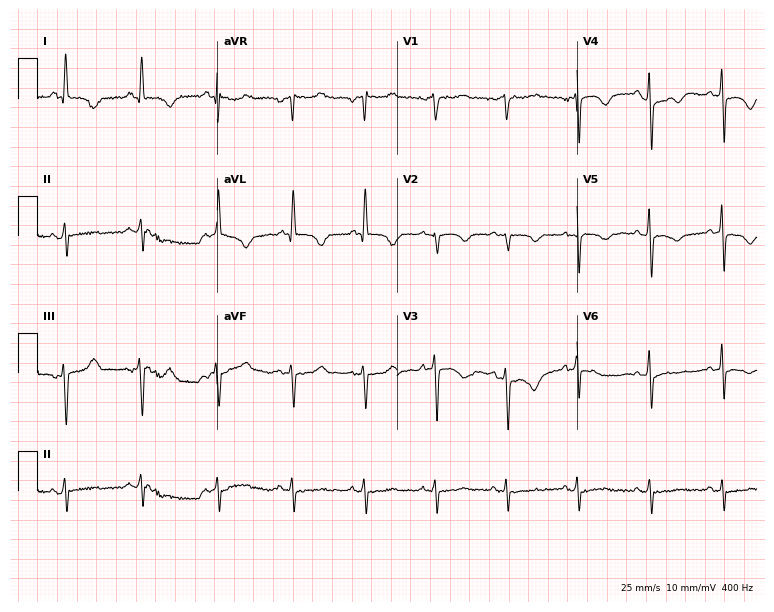
12-lead ECG from an 82-year-old male (7.3-second recording at 400 Hz). No first-degree AV block, right bundle branch block, left bundle branch block, sinus bradycardia, atrial fibrillation or sinus tachycardia recorded for this tracing. Findings outside these six are not listed.